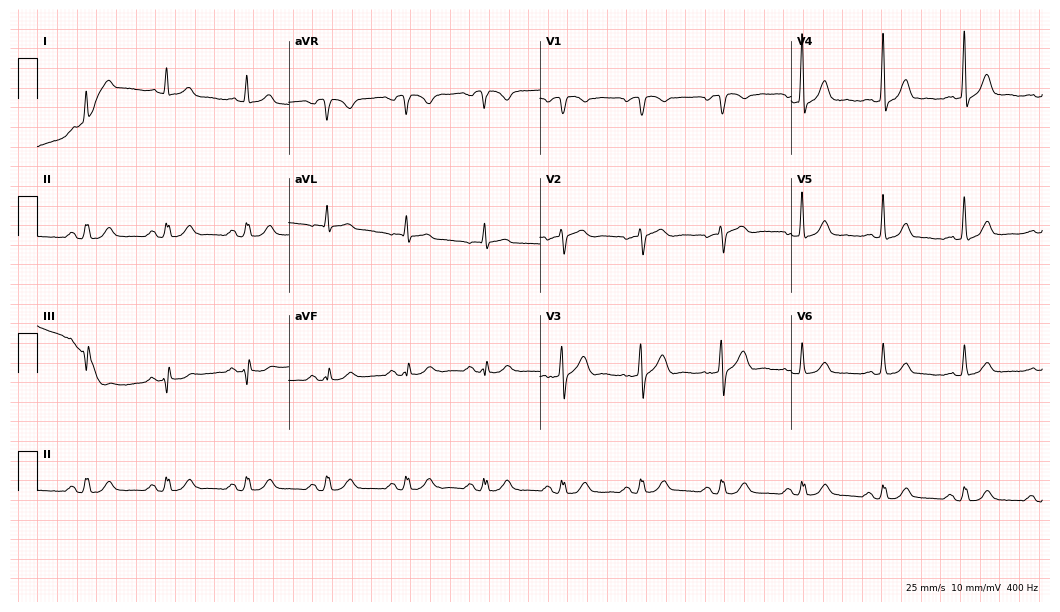
Electrocardiogram (10.2-second recording at 400 Hz), a 53-year-old female. Of the six screened findings (first-degree AV block, right bundle branch block, left bundle branch block, sinus bradycardia, atrial fibrillation, sinus tachycardia), none is recorded. Other findings, if any, are not listed.